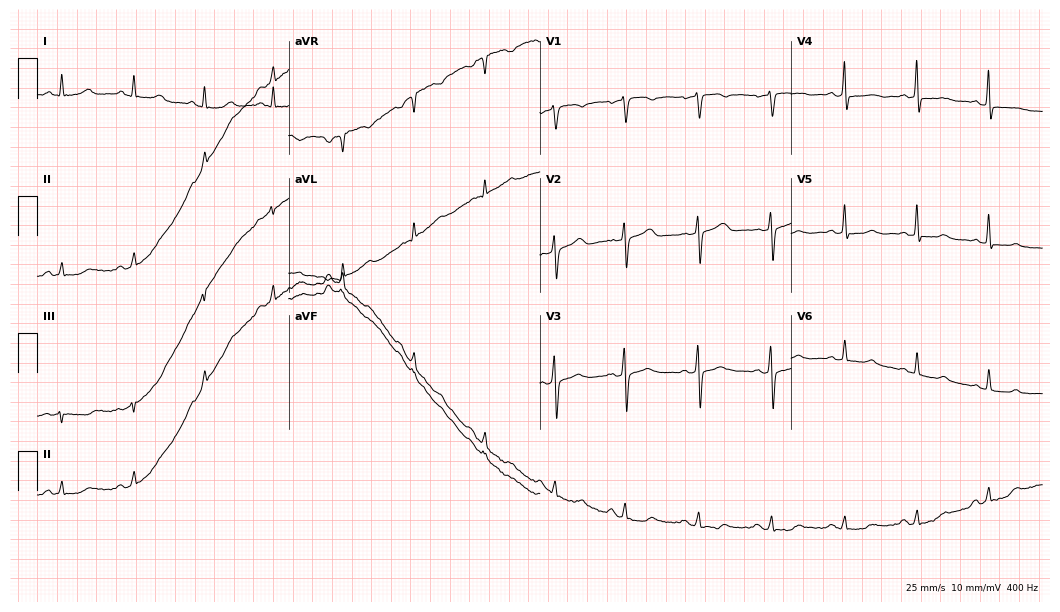
Standard 12-lead ECG recorded from a woman, 54 years old (10.2-second recording at 400 Hz). None of these six findings is recorded: first-degree AV block, right bundle branch block, left bundle branch block, sinus bradycardia, atrial fibrillation, sinus tachycardia. Other findings, if any, are not listed.